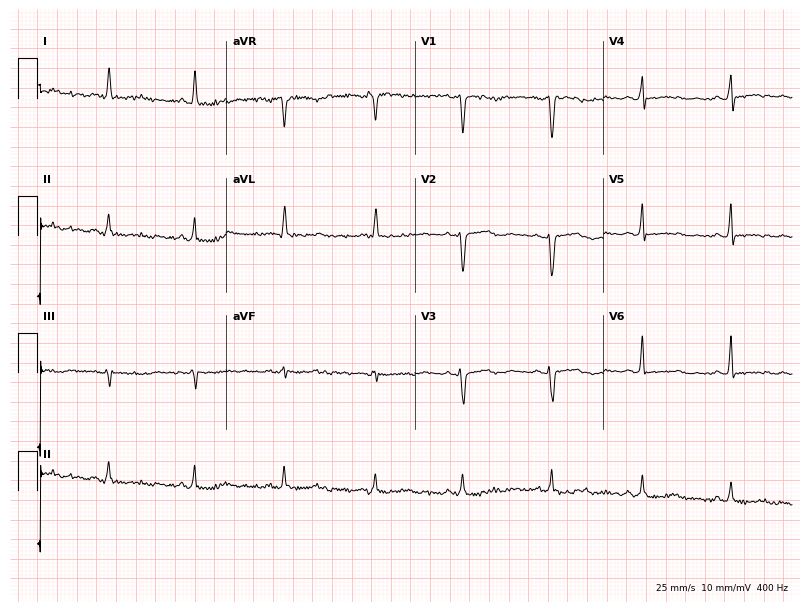
Resting 12-lead electrocardiogram (7.7-second recording at 400 Hz). Patient: a 47-year-old woman. None of these six findings is recorded: first-degree AV block, right bundle branch block (RBBB), left bundle branch block (LBBB), sinus bradycardia, atrial fibrillation (AF), sinus tachycardia. Findings outside these six are not listed.